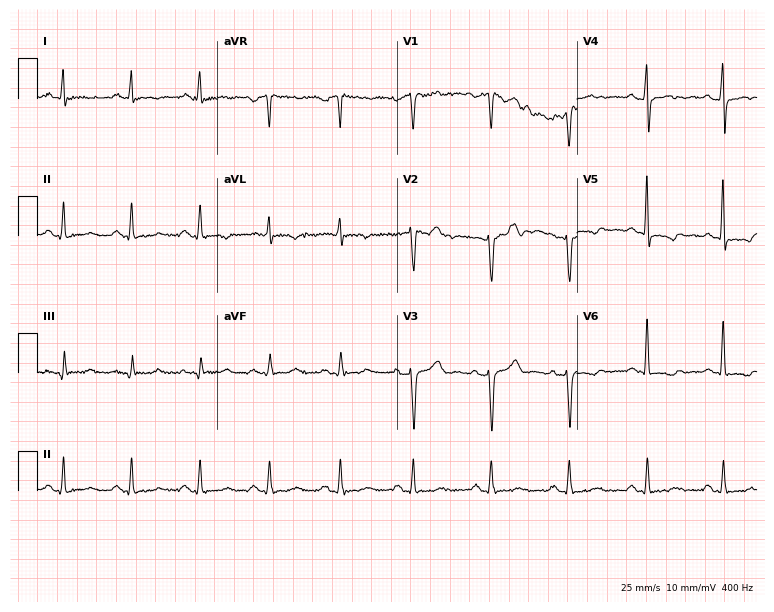
12-lead ECG from a 55-year-old male (7.3-second recording at 400 Hz). No first-degree AV block, right bundle branch block, left bundle branch block, sinus bradycardia, atrial fibrillation or sinus tachycardia recorded for this tracing. Other findings, if any, are not listed.